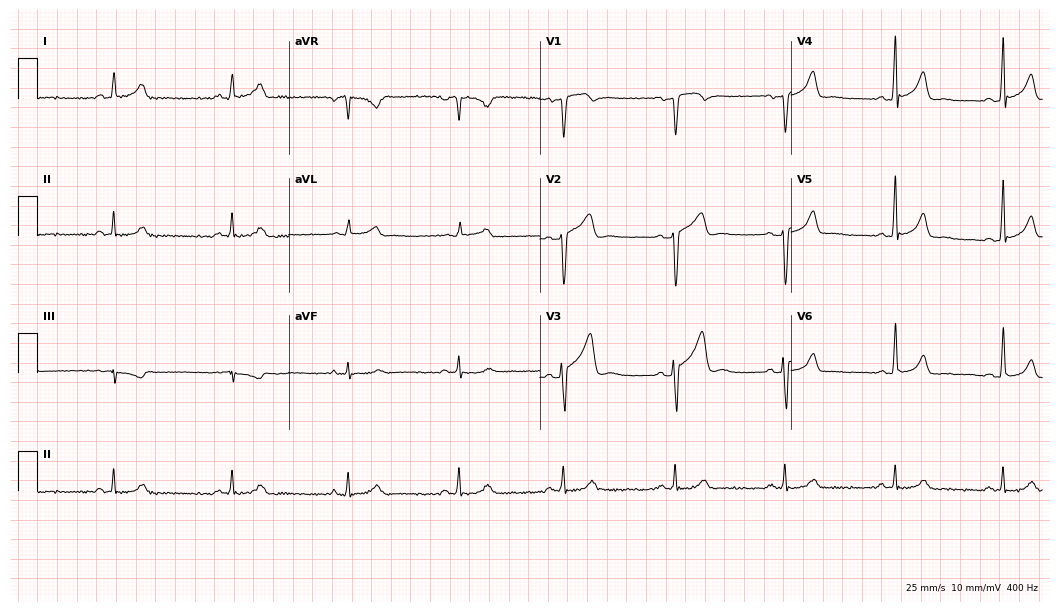
12-lead ECG (10.2-second recording at 400 Hz) from a male patient, 41 years old. Labelled as a normal ECG.